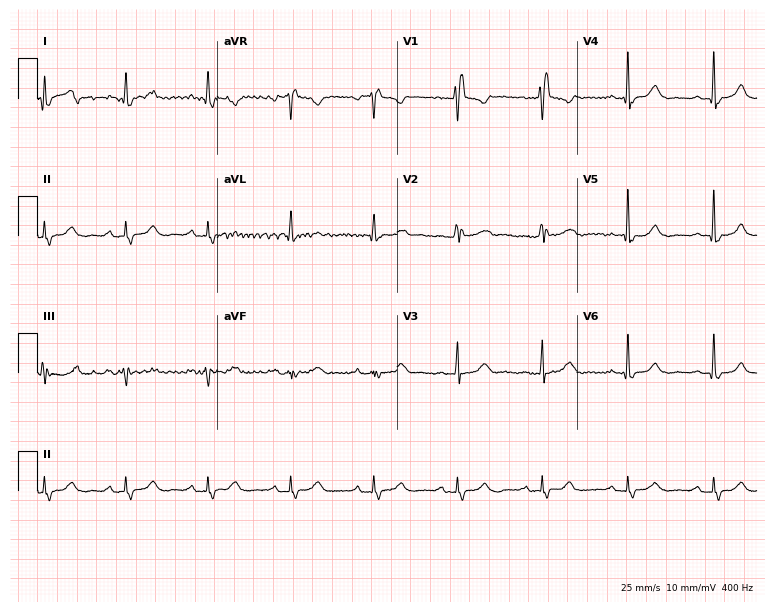
Resting 12-lead electrocardiogram. Patient: a 56-year-old female. The tracing shows right bundle branch block.